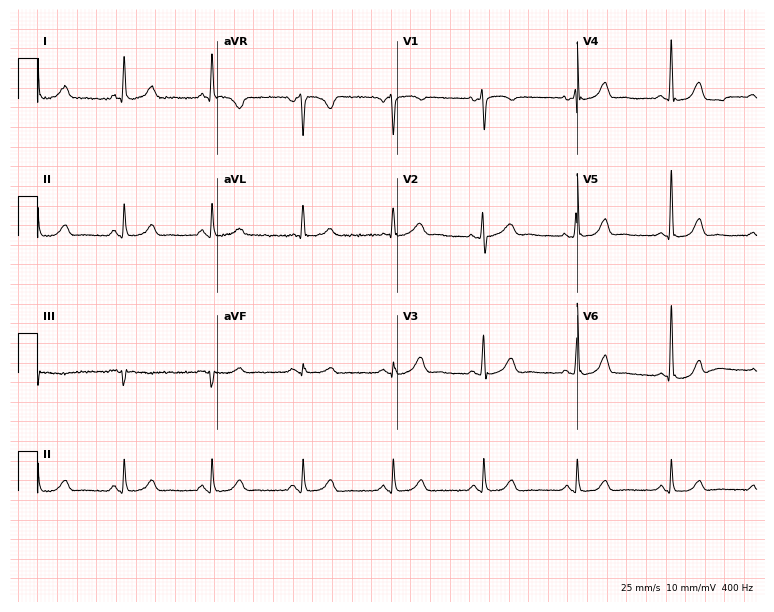
Electrocardiogram, a woman, 58 years old. Of the six screened findings (first-degree AV block, right bundle branch block, left bundle branch block, sinus bradycardia, atrial fibrillation, sinus tachycardia), none is recorded.